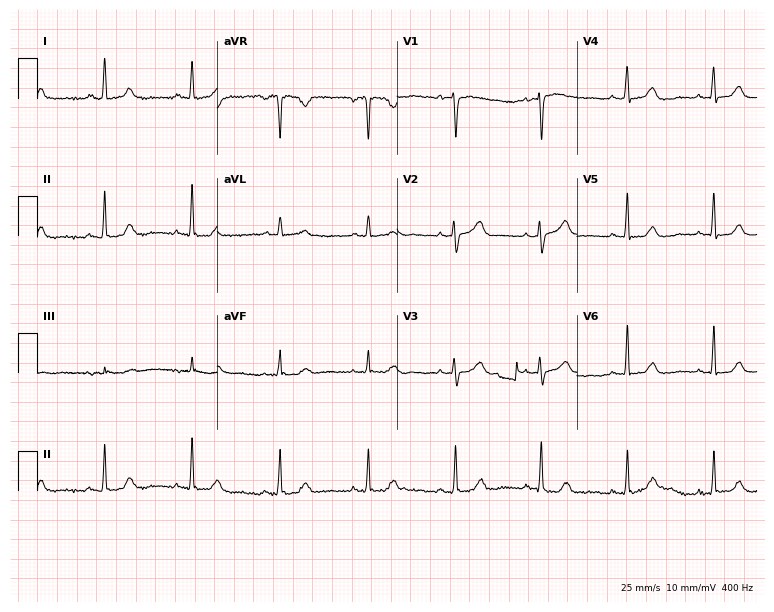
12-lead ECG from a 57-year-old female. No first-degree AV block, right bundle branch block (RBBB), left bundle branch block (LBBB), sinus bradycardia, atrial fibrillation (AF) or sinus tachycardia recorded for this tracing. Findings outside these six are not listed.